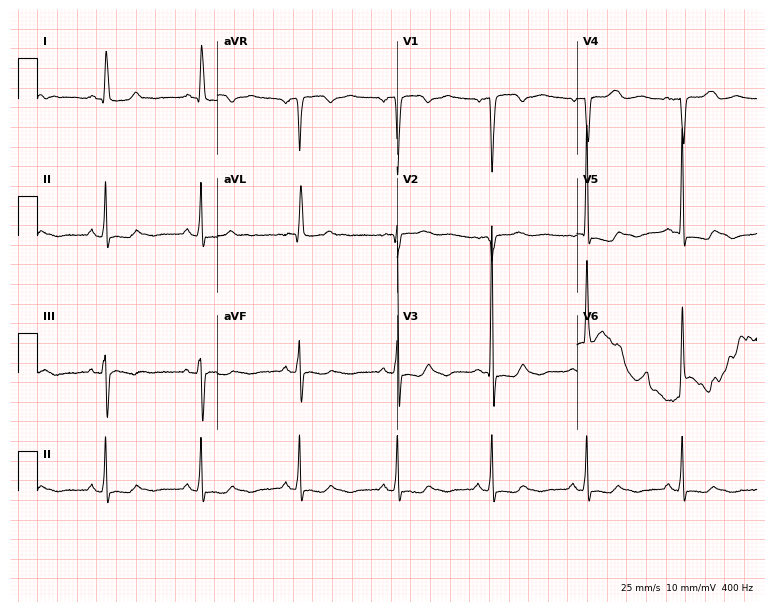
ECG (7.3-second recording at 400 Hz) — a woman, 68 years old. Labelled as a normal ECG.